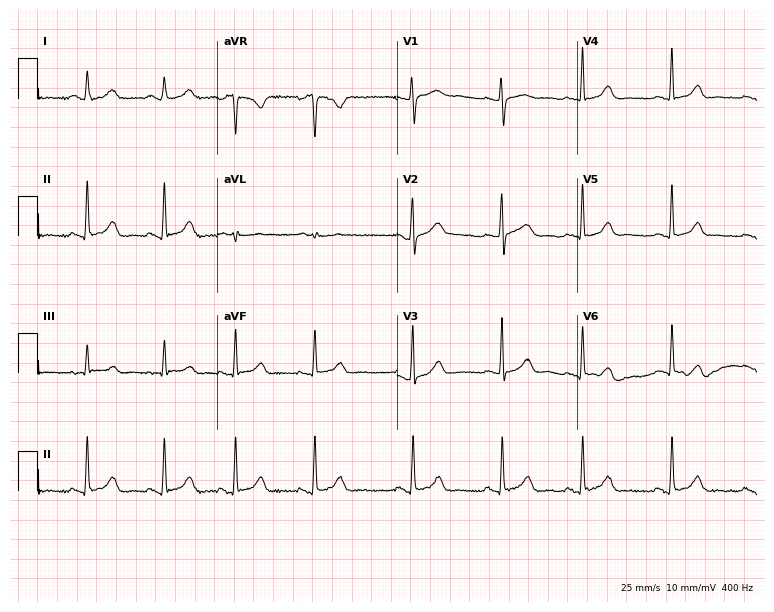
Resting 12-lead electrocardiogram. Patient: a female, 32 years old. Read as a normal ECG.